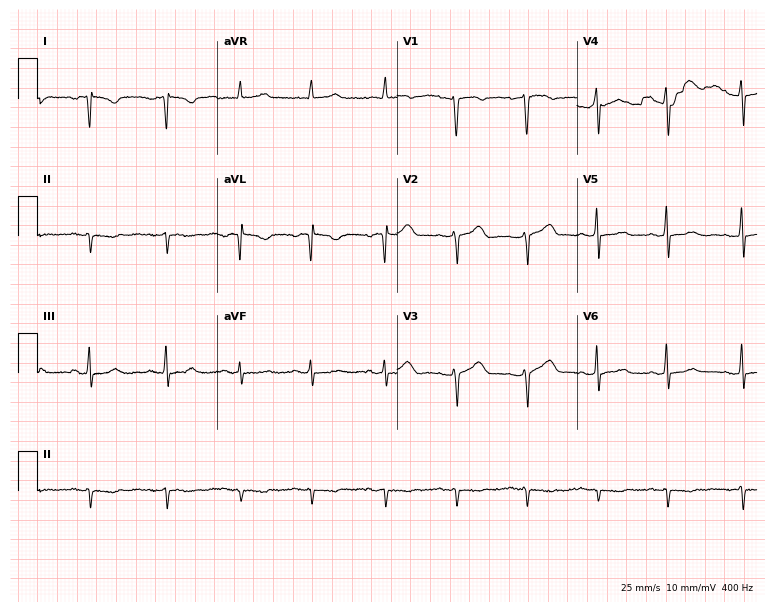
ECG — a female, 47 years old. Screened for six findings — first-degree AV block, right bundle branch block, left bundle branch block, sinus bradycardia, atrial fibrillation, sinus tachycardia — none is recorded. Only these six findings were labelled.